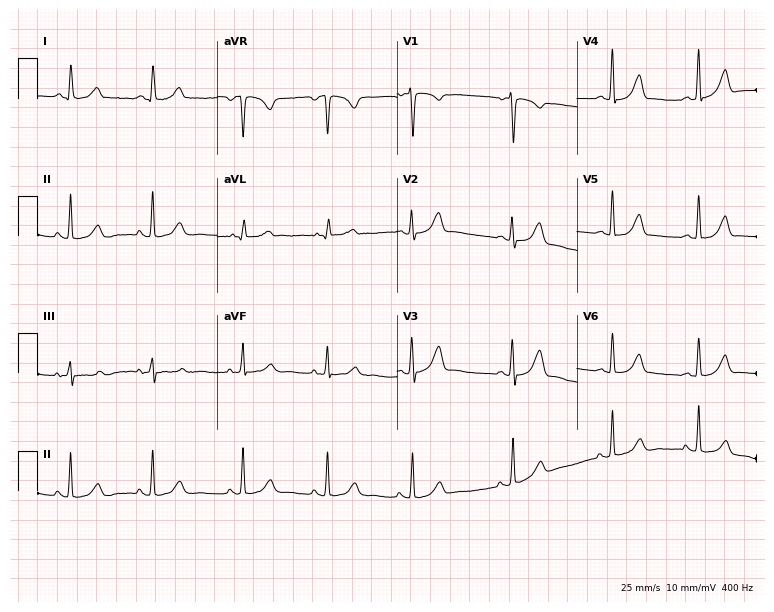
Electrocardiogram (7.3-second recording at 400 Hz), a female, 26 years old. Of the six screened findings (first-degree AV block, right bundle branch block, left bundle branch block, sinus bradycardia, atrial fibrillation, sinus tachycardia), none is recorded.